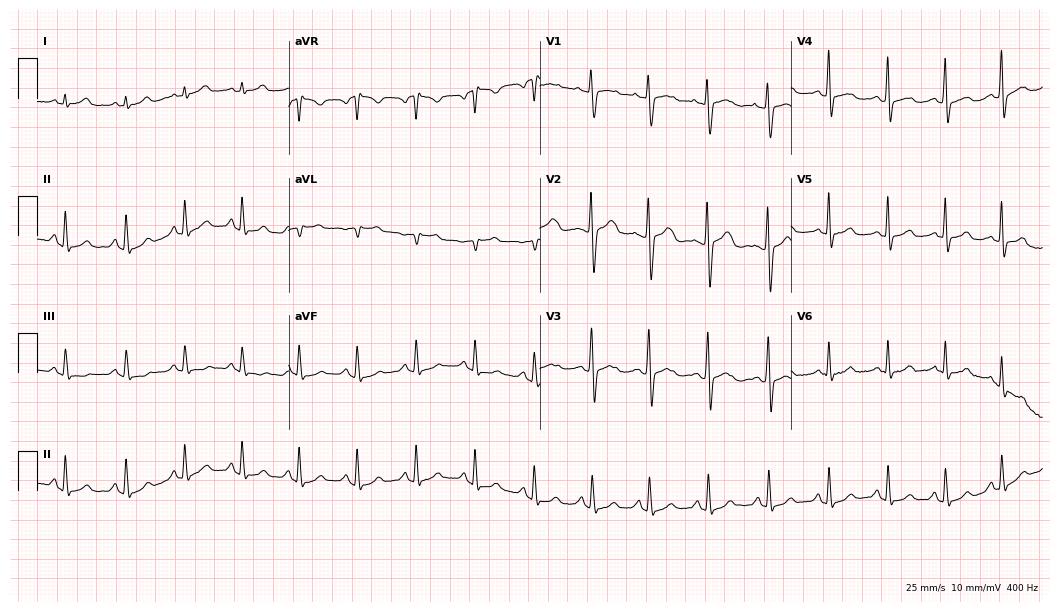
Resting 12-lead electrocardiogram. Patient: a woman, 33 years old. Read as a normal ECG.